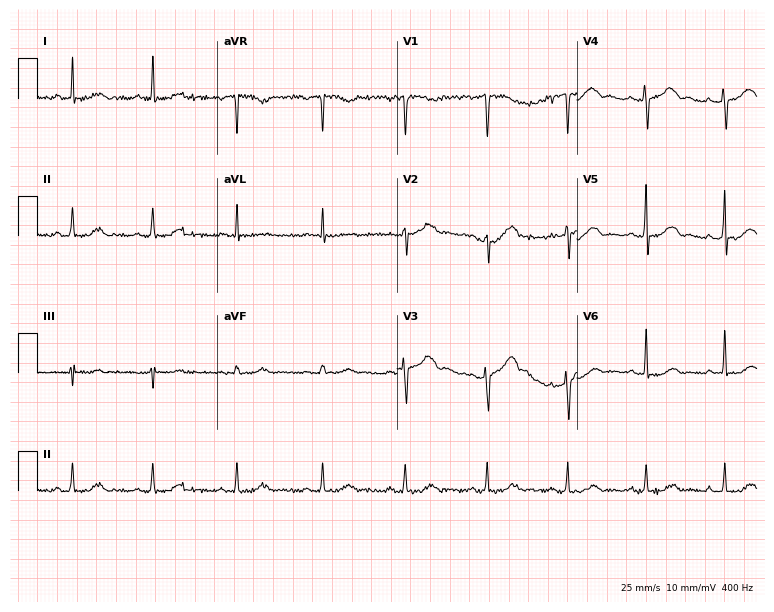
ECG (7.3-second recording at 400 Hz) — a female patient, 47 years old. Screened for six findings — first-degree AV block, right bundle branch block, left bundle branch block, sinus bradycardia, atrial fibrillation, sinus tachycardia — none is recorded.